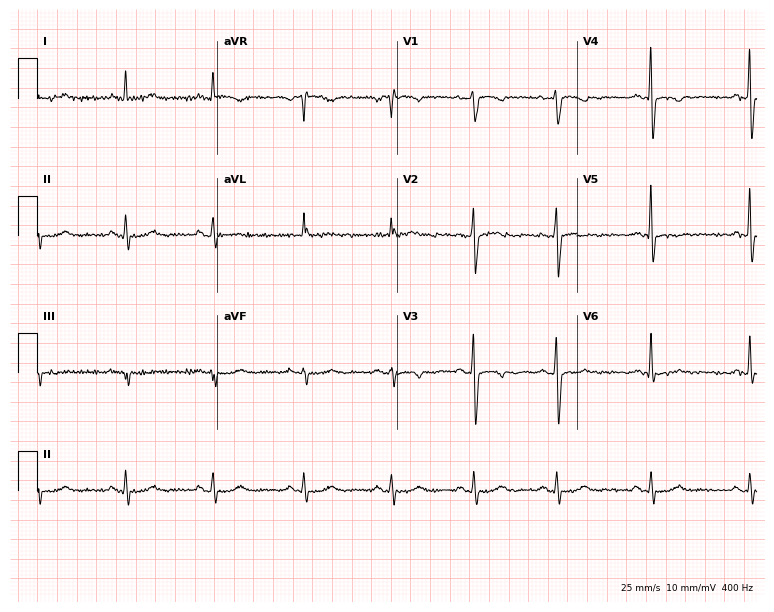
Electrocardiogram, a 44-year-old female. Of the six screened findings (first-degree AV block, right bundle branch block, left bundle branch block, sinus bradycardia, atrial fibrillation, sinus tachycardia), none is recorded. Only these six findings were labelled.